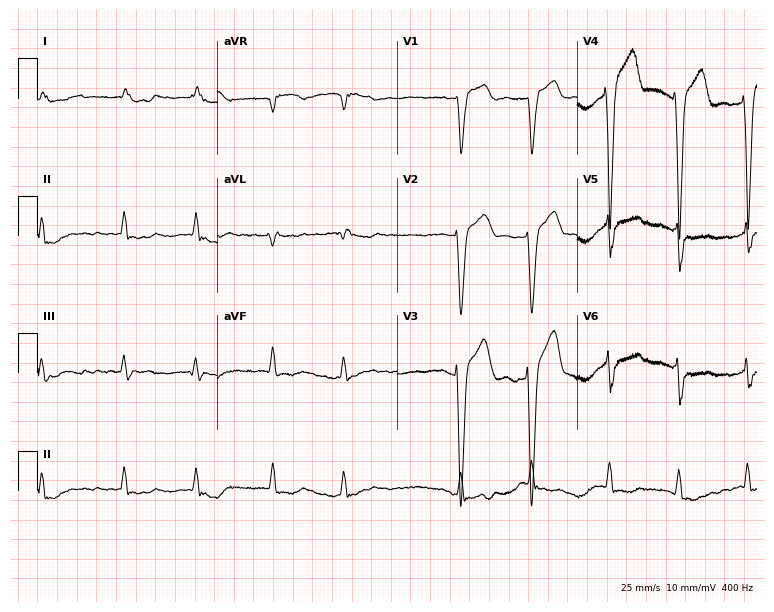
ECG (7.3-second recording at 400 Hz) — a woman, 82 years old. Findings include left bundle branch block, atrial fibrillation.